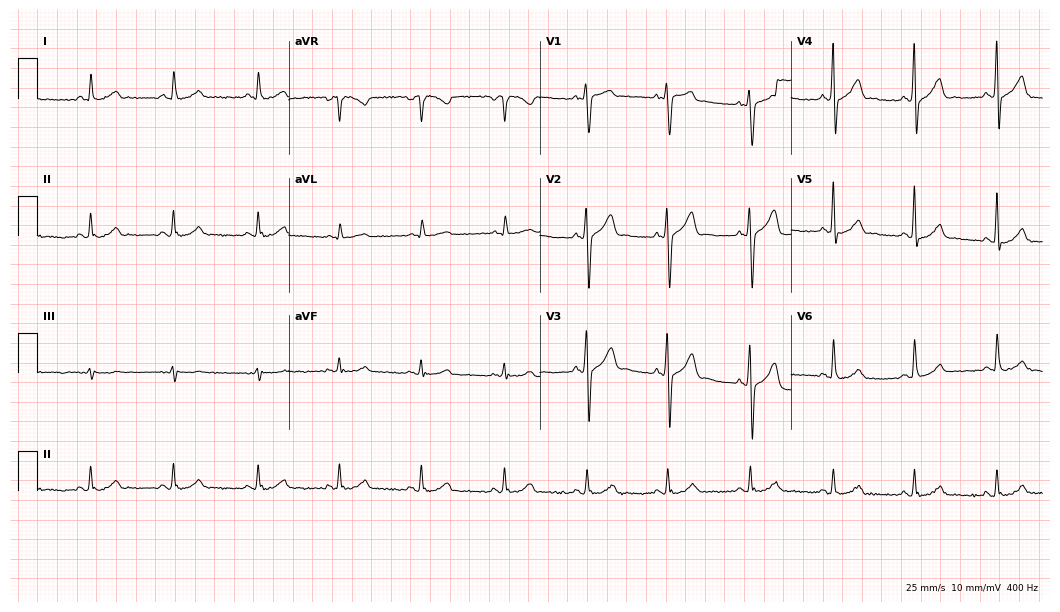
12-lead ECG from a male, 58 years old. Recorded interpretation: within normal limits.